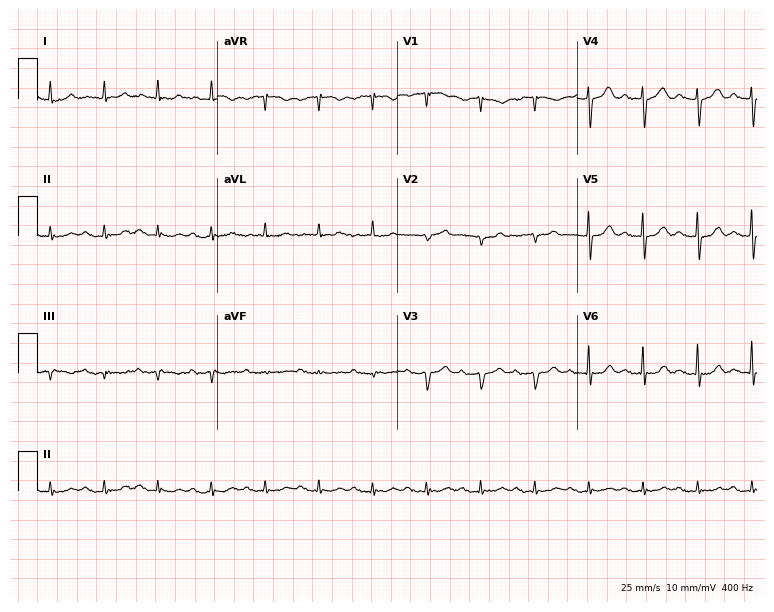
Electrocardiogram (7.3-second recording at 400 Hz), an 83-year-old male. Interpretation includes sinus tachycardia (a sinus rate of 100 beats per minute or more).